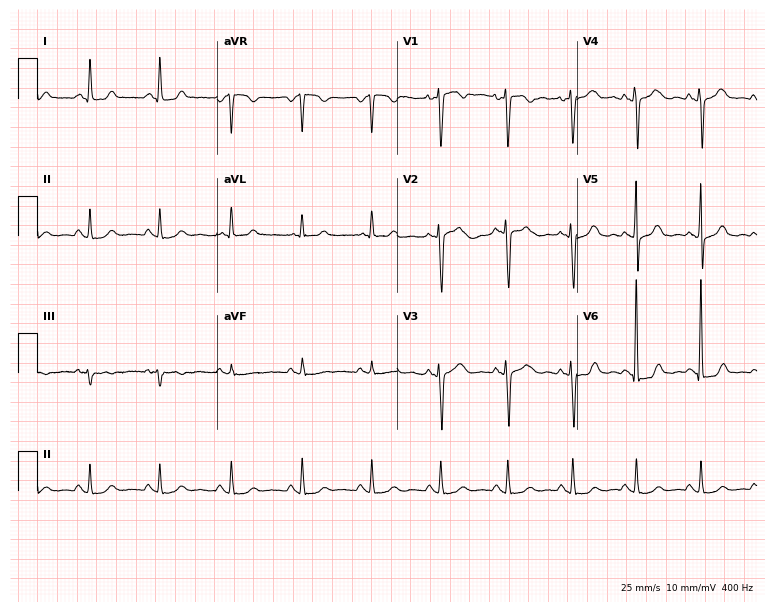
Standard 12-lead ECG recorded from a female, 52 years old (7.3-second recording at 400 Hz). Read as a normal ECG.